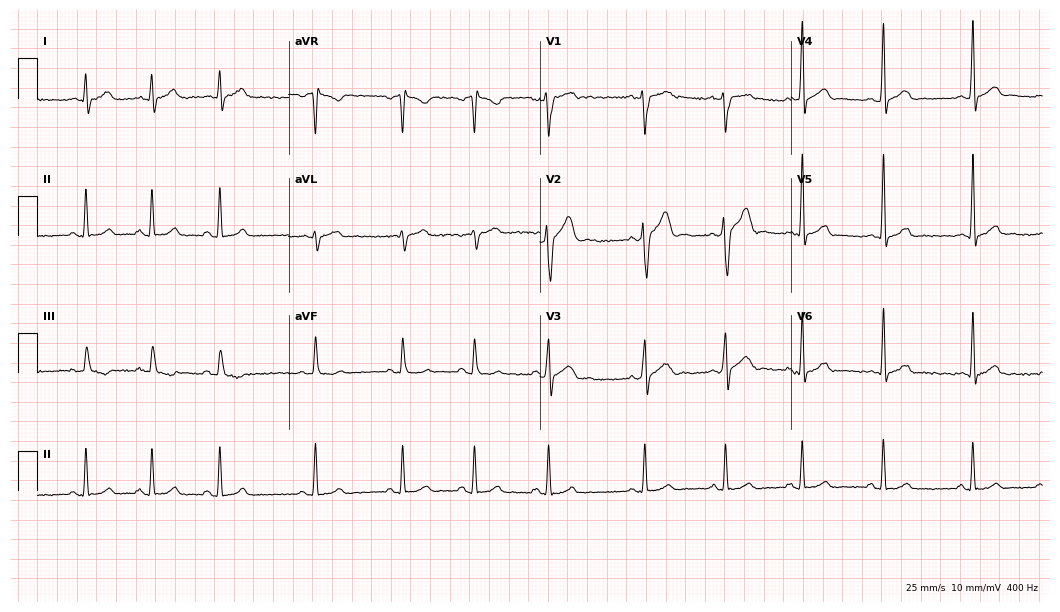
Electrocardiogram, a 23-year-old man. Overall reading on record: normal ECG.